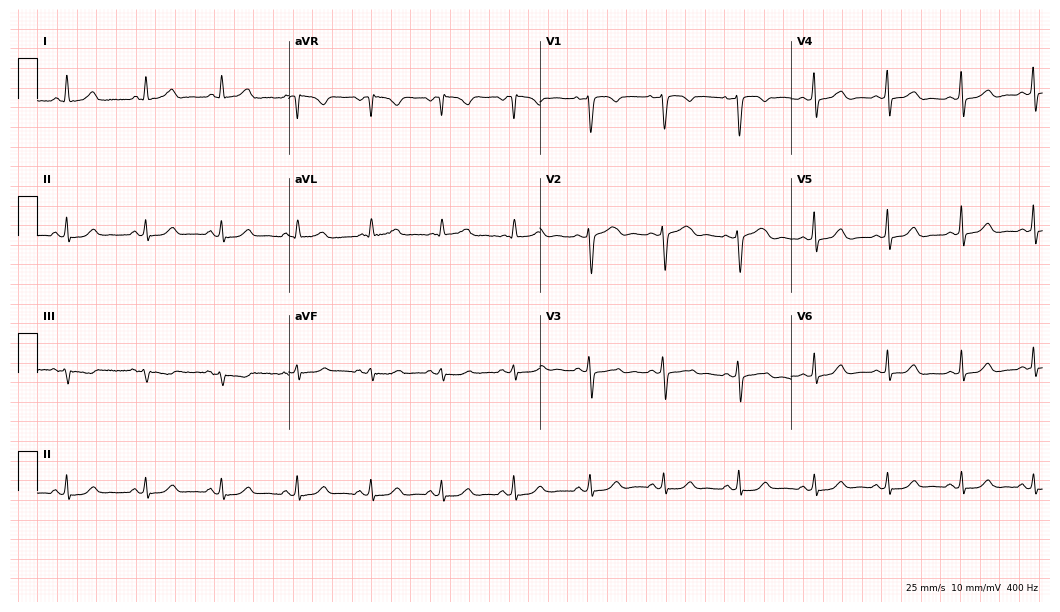
12-lead ECG from a woman, 45 years old (10.2-second recording at 400 Hz). No first-degree AV block, right bundle branch block (RBBB), left bundle branch block (LBBB), sinus bradycardia, atrial fibrillation (AF) or sinus tachycardia recorded for this tracing.